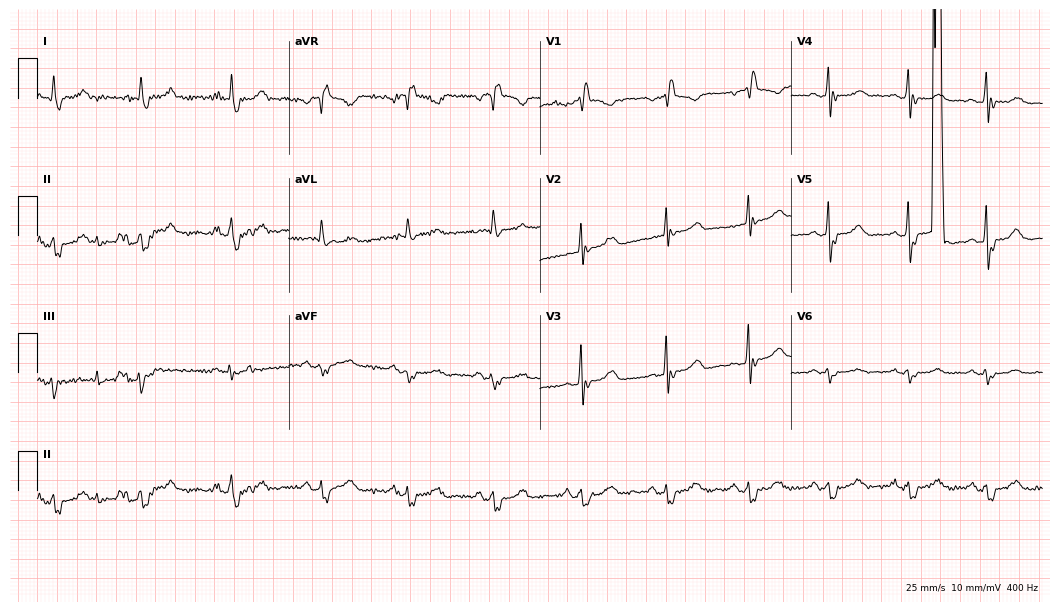
Resting 12-lead electrocardiogram (10.2-second recording at 400 Hz). Patient: a 57-year-old female. None of these six findings is recorded: first-degree AV block, right bundle branch block, left bundle branch block, sinus bradycardia, atrial fibrillation, sinus tachycardia.